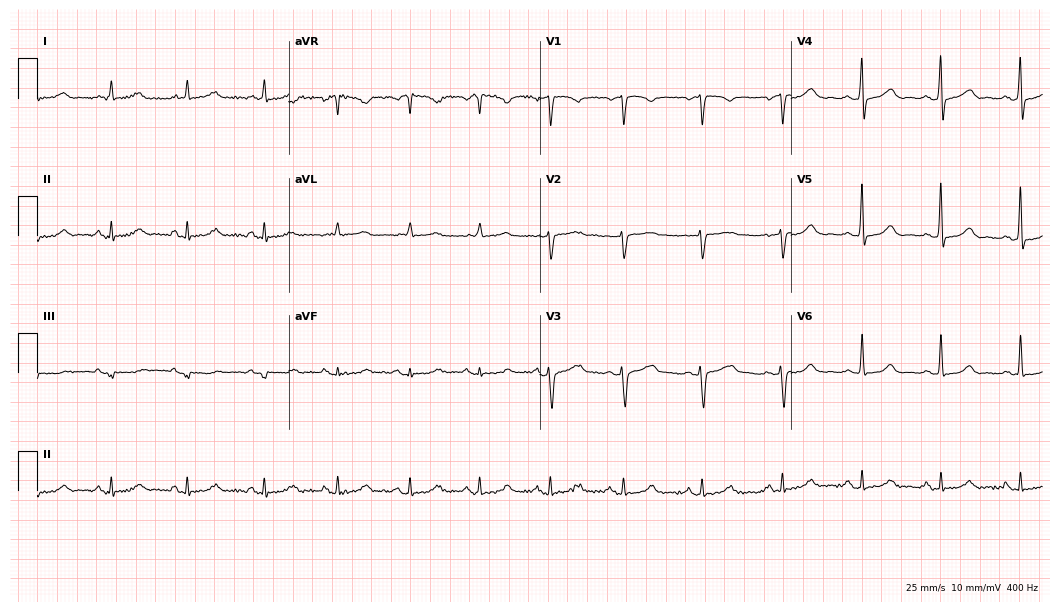
Standard 12-lead ECG recorded from a 58-year-old man (10.2-second recording at 400 Hz). None of these six findings is recorded: first-degree AV block, right bundle branch block (RBBB), left bundle branch block (LBBB), sinus bradycardia, atrial fibrillation (AF), sinus tachycardia. Findings outside these six are not listed.